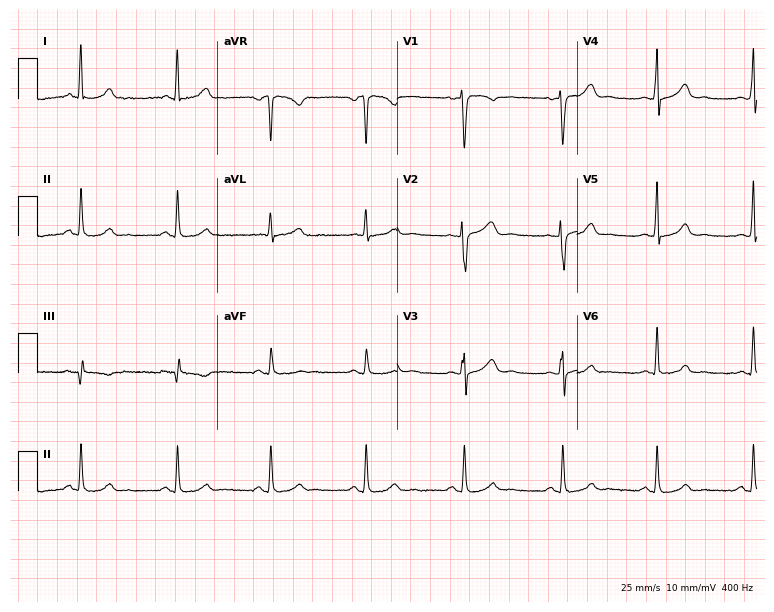
Electrocardiogram (7.3-second recording at 400 Hz), a 26-year-old woman. Of the six screened findings (first-degree AV block, right bundle branch block (RBBB), left bundle branch block (LBBB), sinus bradycardia, atrial fibrillation (AF), sinus tachycardia), none is recorded. Other findings, if any, are not listed.